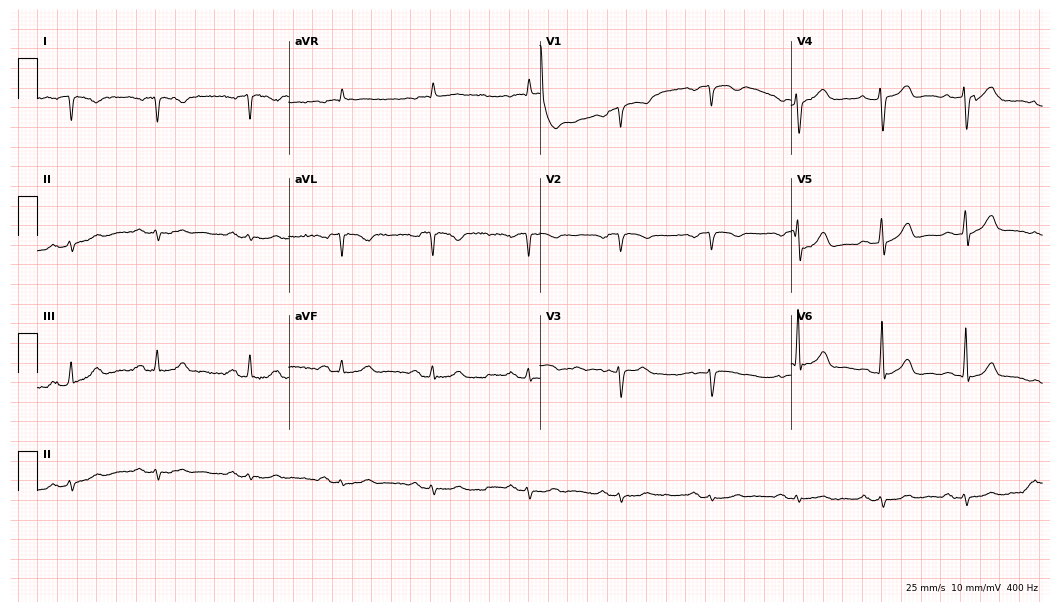
Resting 12-lead electrocardiogram (10.2-second recording at 400 Hz). Patient: a man, 82 years old. None of these six findings is recorded: first-degree AV block, right bundle branch block (RBBB), left bundle branch block (LBBB), sinus bradycardia, atrial fibrillation (AF), sinus tachycardia. Findings outside these six are not listed.